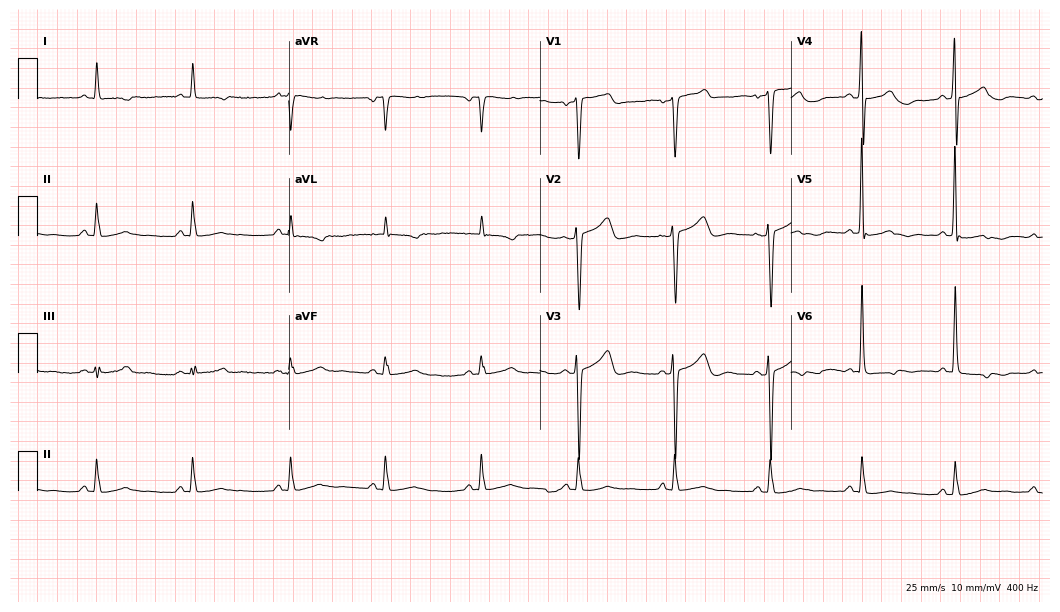
Resting 12-lead electrocardiogram. Patient: a woman, 59 years old. None of these six findings is recorded: first-degree AV block, right bundle branch block, left bundle branch block, sinus bradycardia, atrial fibrillation, sinus tachycardia.